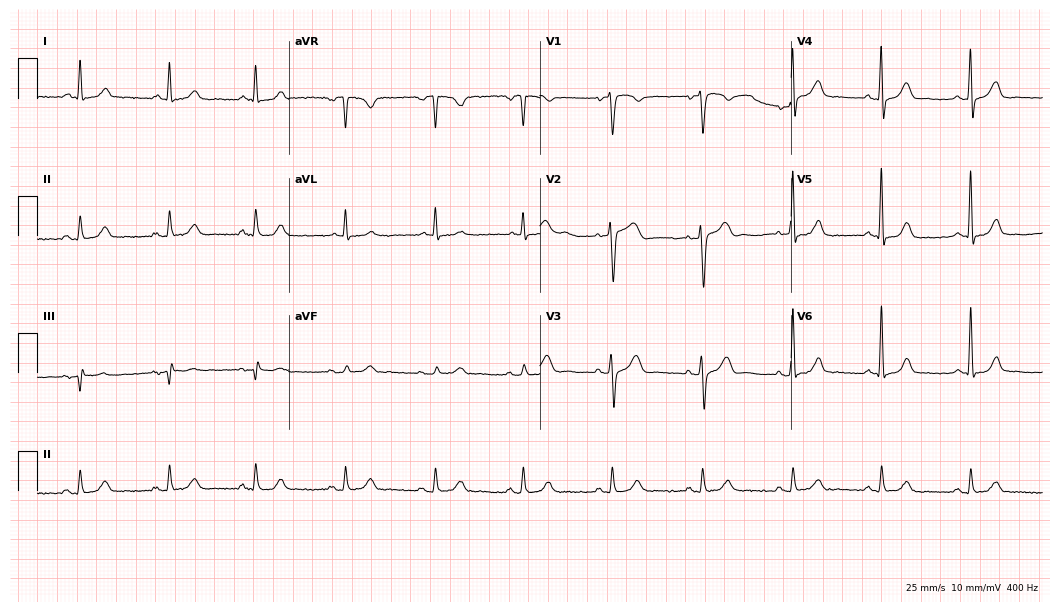
ECG (10.2-second recording at 400 Hz) — a 77-year-old male patient. Screened for six findings — first-degree AV block, right bundle branch block, left bundle branch block, sinus bradycardia, atrial fibrillation, sinus tachycardia — none is recorded. Only these six findings were labelled.